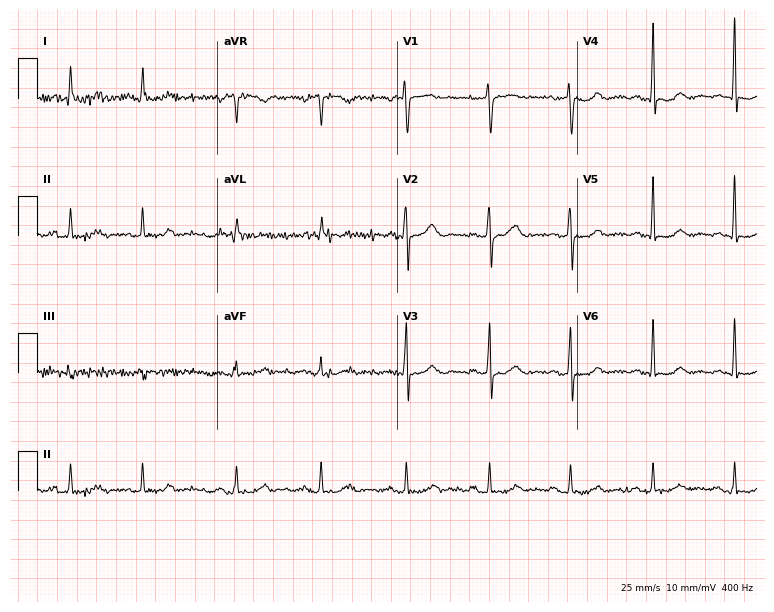
ECG (7.3-second recording at 400 Hz) — a 68-year-old female. Labelled as a normal ECG.